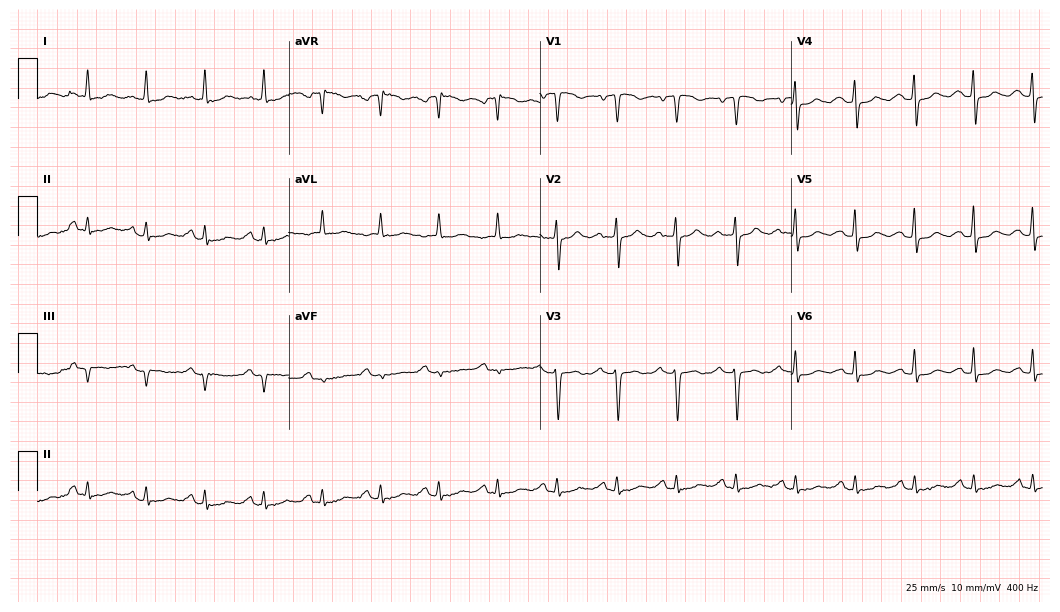
12-lead ECG from a 68-year-old female (10.2-second recording at 400 Hz). No first-degree AV block, right bundle branch block, left bundle branch block, sinus bradycardia, atrial fibrillation or sinus tachycardia recorded for this tracing. Findings outside these six are not listed.